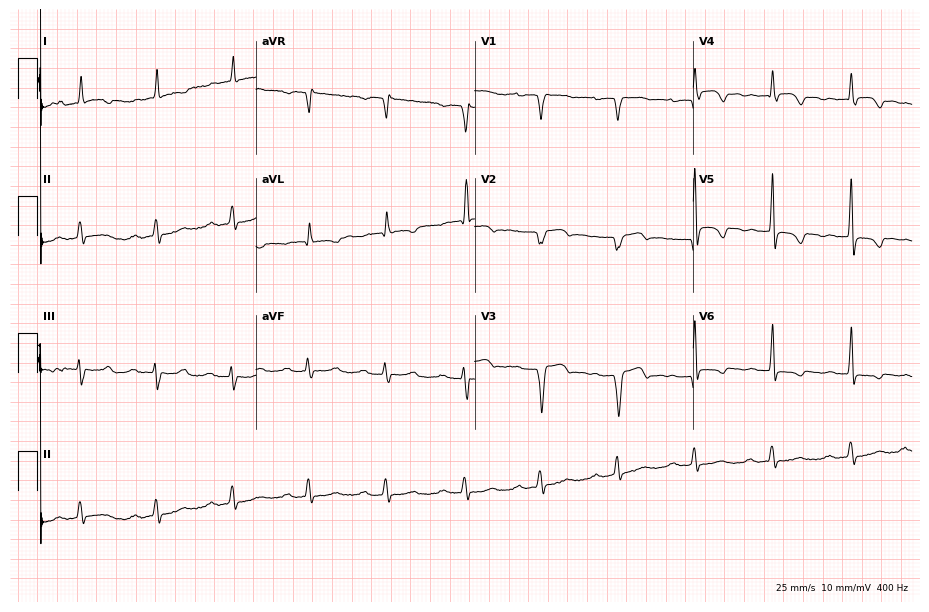
12-lead ECG from a female patient, 85 years old. Shows first-degree AV block.